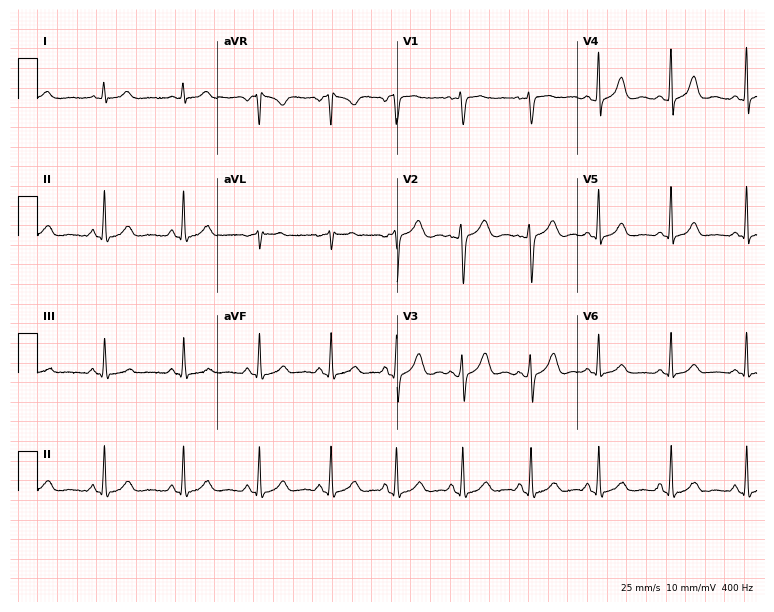
12-lead ECG from a woman, 32 years old. Labelled as a normal ECG.